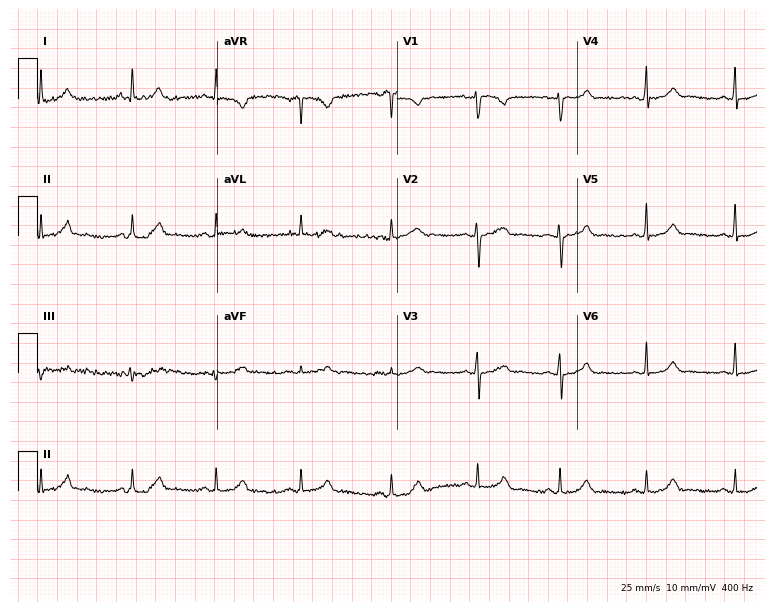
12-lead ECG from a female patient, 29 years old. Labelled as a normal ECG.